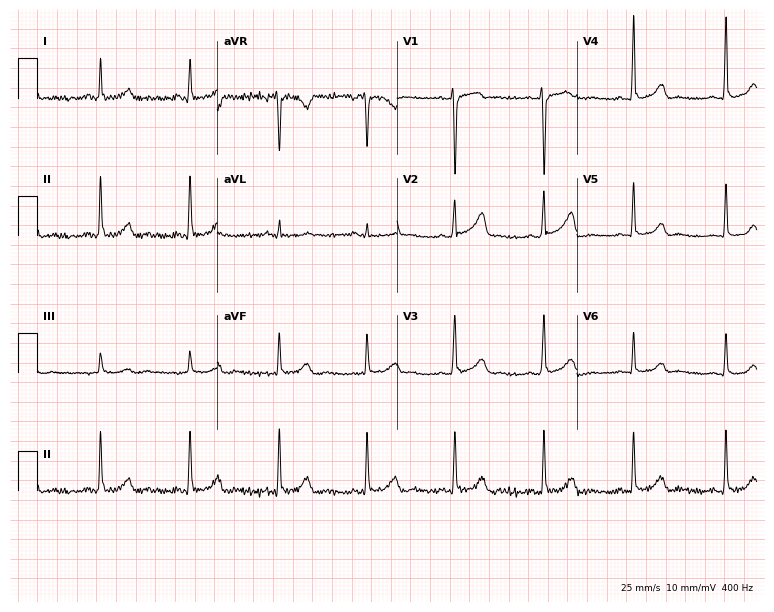
Electrocardiogram, a female, 28 years old. Overall reading on record: normal ECG.